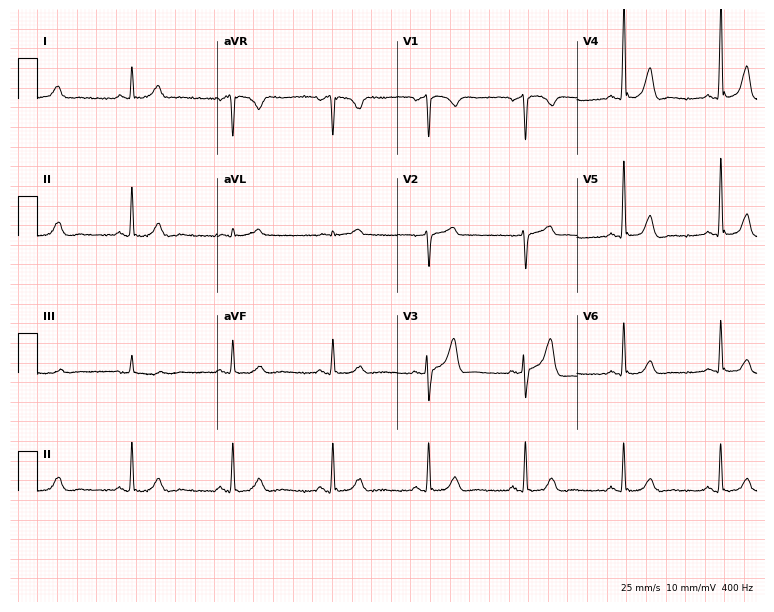
Electrocardiogram (7.3-second recording at 400 Hz), a 52-year-old male. Overall reading on record: normal ECG.